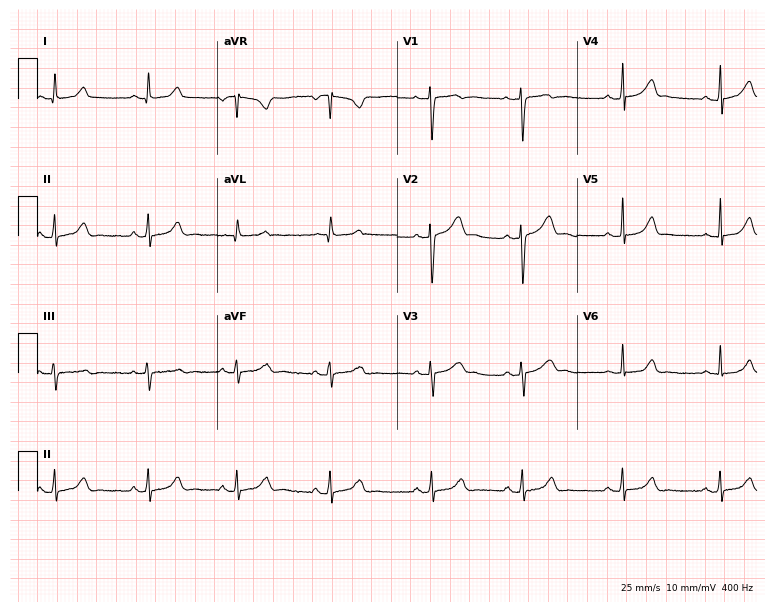
12-lead ECG from a woman, 30 years old. Recorded interpretation: within normal limits.